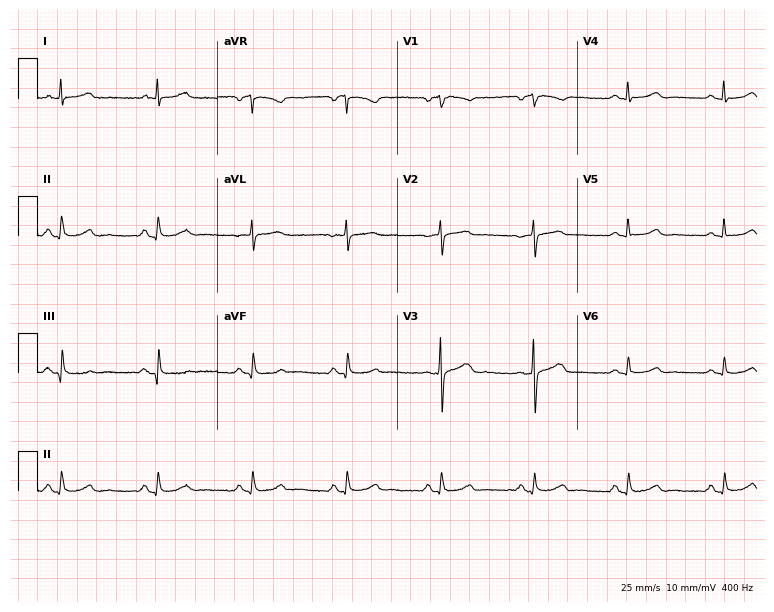
Resting 12-lead electrocardiogram (7.3-second recording at 400 Hz). Patient: a 75-year-old female. Read as a normal ECG.